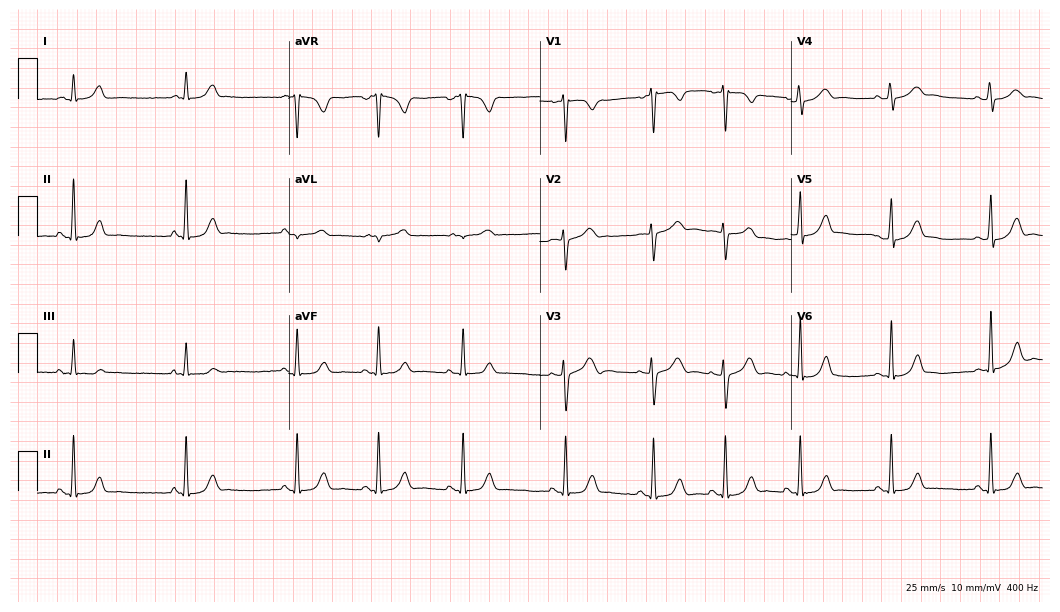
12-lead ECG (10.2-second recording at 400 Hz) from a 17-year-old female. Labelled as a normal ECG.